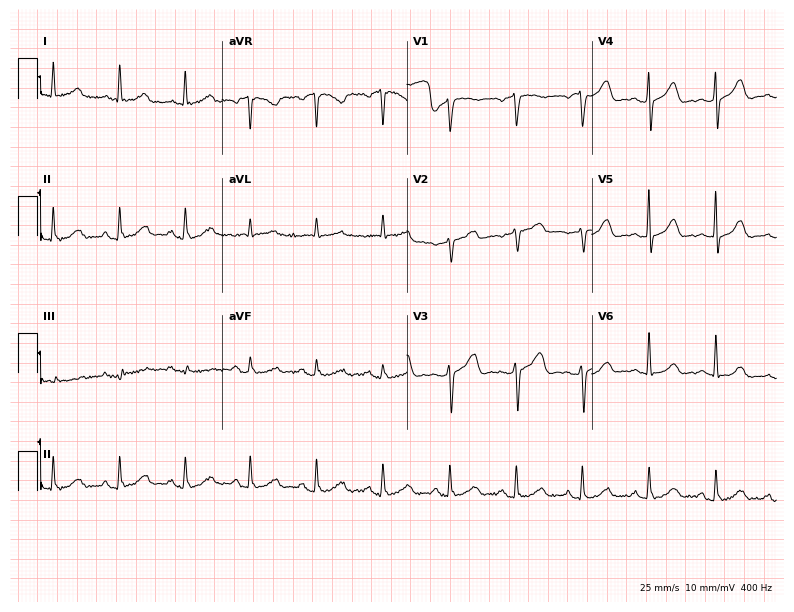
Electrocardiogram (7.5-second recording at 400 Hz), a 68-year-old female patient. Overall reading on record: normal ECG.